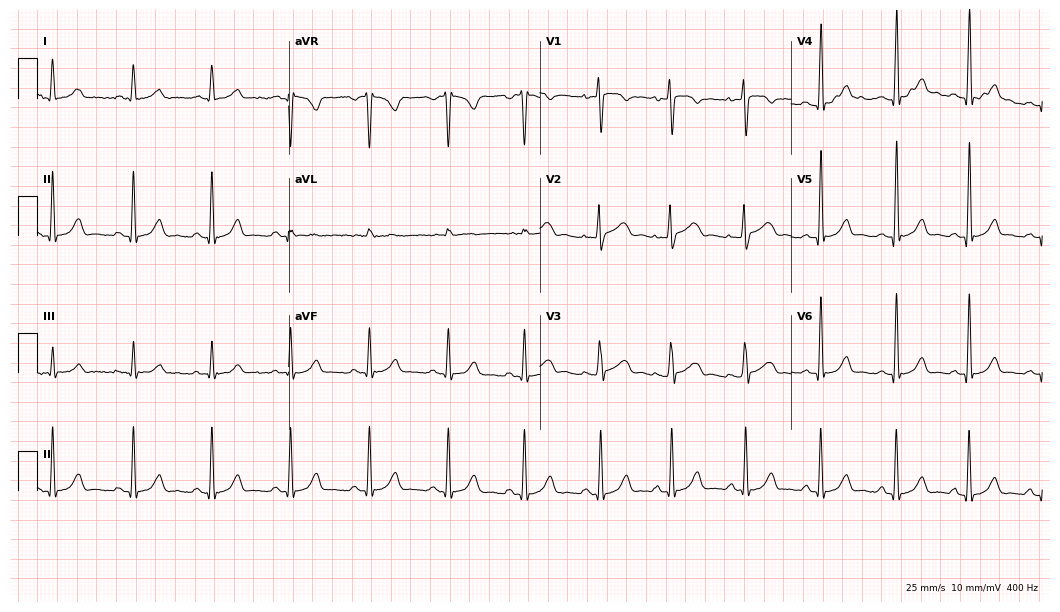
Electrocardiogram, a female patient, 33 years old. Overall reading on record: normal ECG.